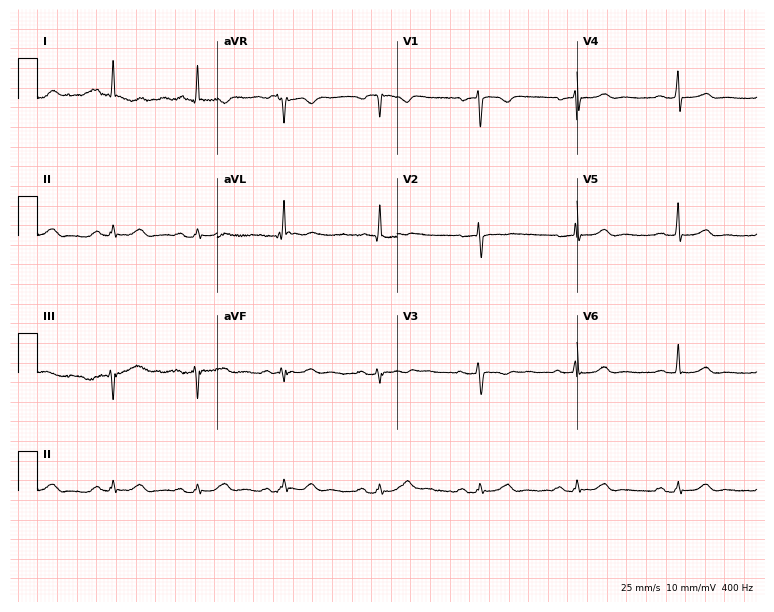
Standard 12-lead ECG recorded from a woman, 54 years old (7.3-second recording at 400 Hz). Read as a normal ECG.